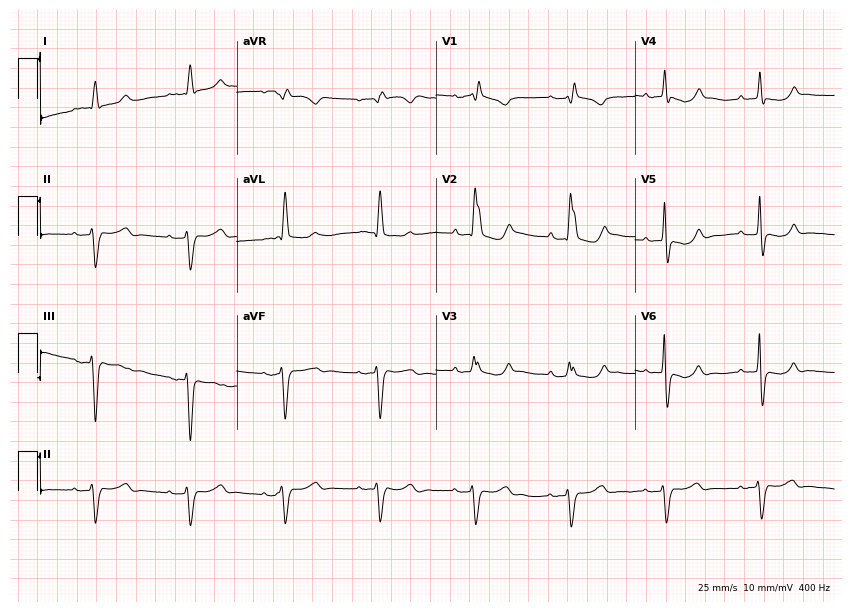
Electrocardiogram (8.1-second recording at 400 Hz), a man, 82 years old. Interpretation includes right bundle branch block.